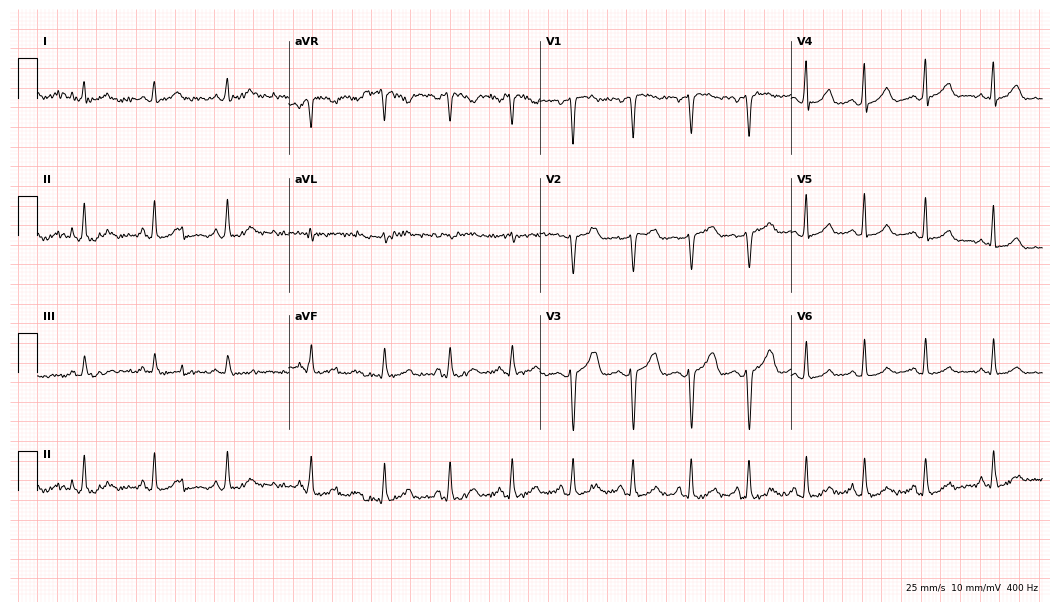
12-lead ECG from a 41-year-old man. No first-degree AV block, right bundle branch block, left bundle branch block, sinus bradycardia, atrial fibrillation or sinus tachycardia recorded for this tracing. Only these six findings were labelled.